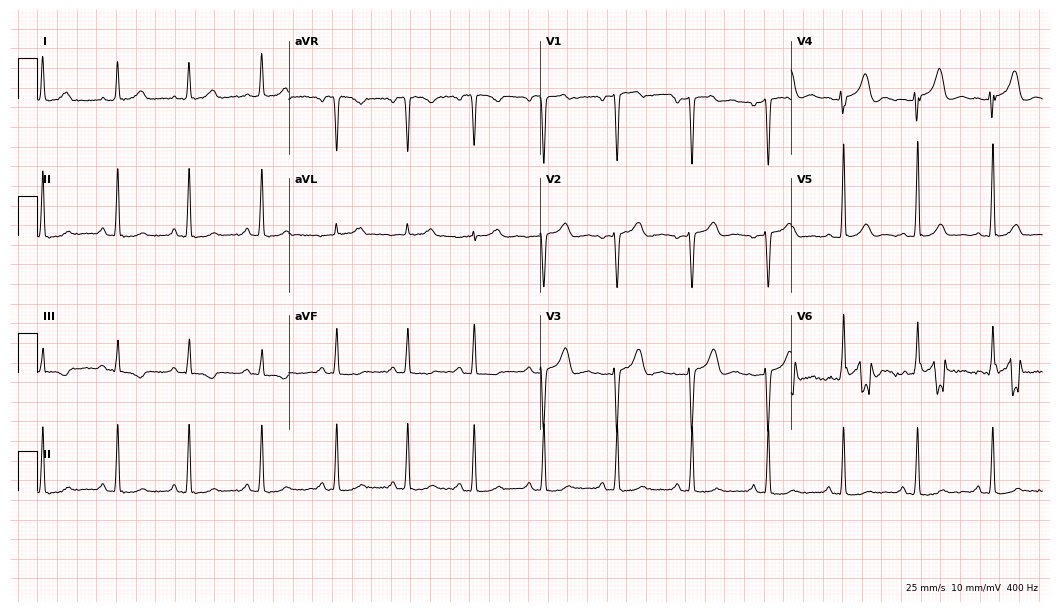
ECG — a 39-year-old woman. Labelled as a normal ECG.